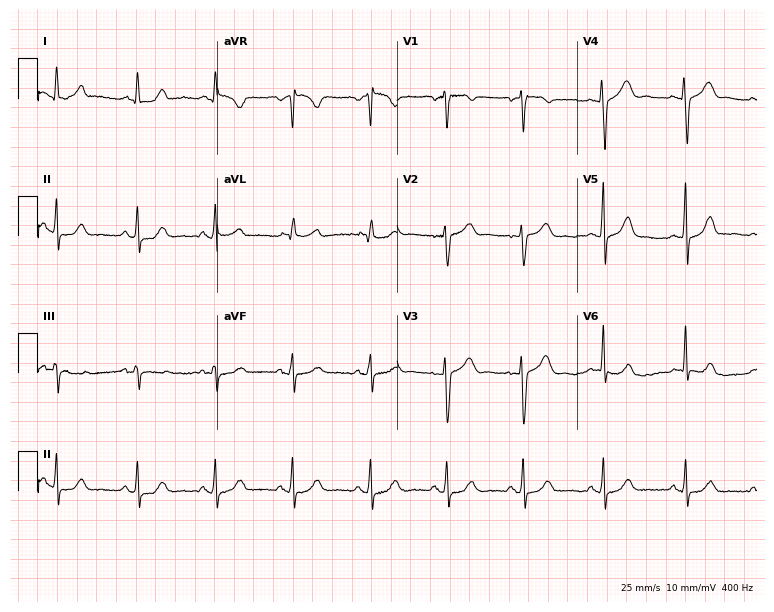
12-lead ECG from a 52-year-old female. Recorded interpretation: within normal limits.